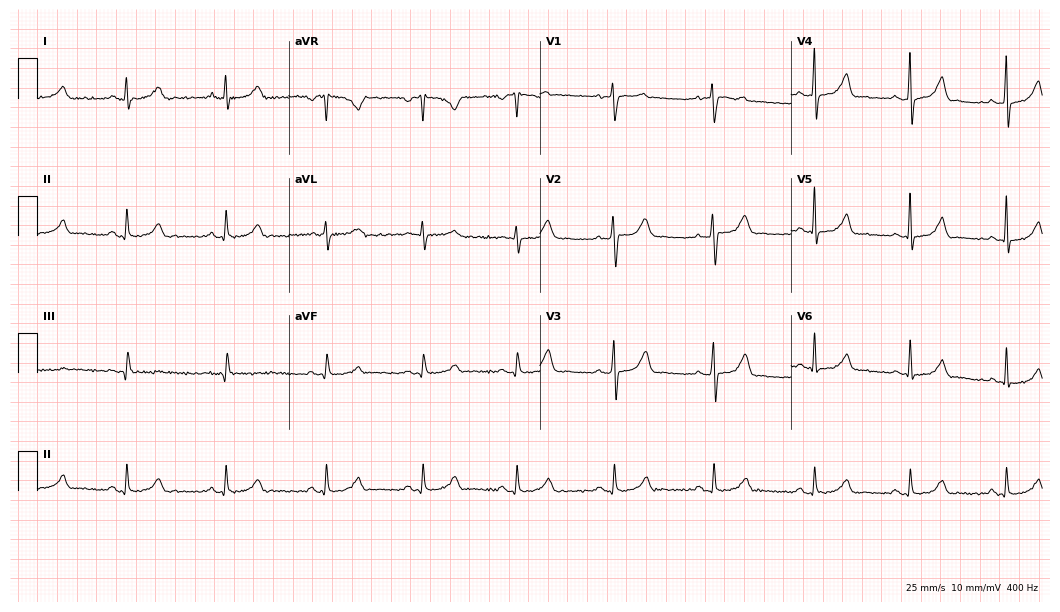
ECG (10.2-second recording at 400 Hz) — a woman, 43 years old. Labelled as a normal ECG.